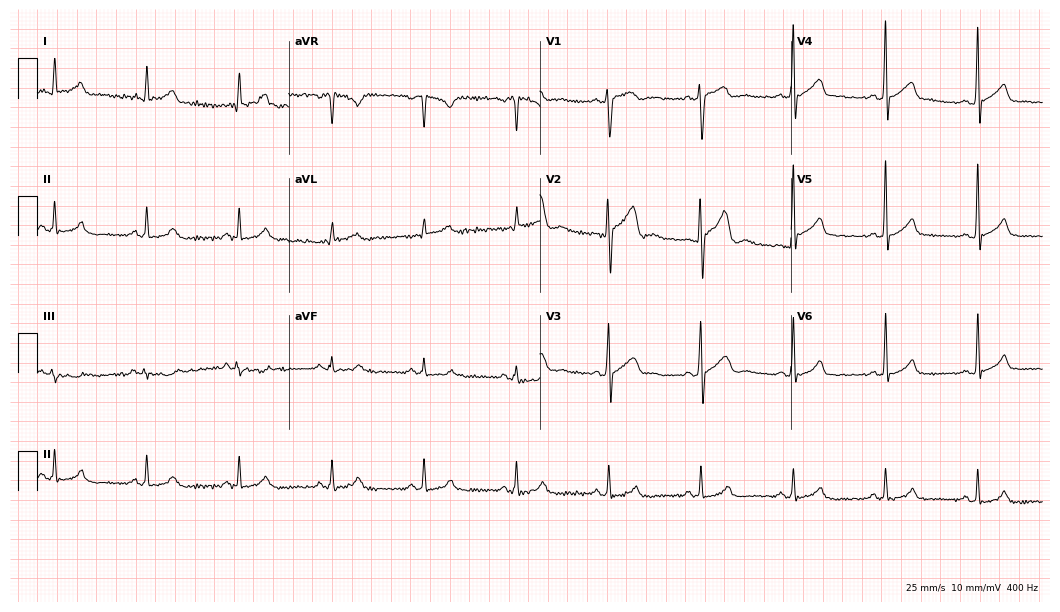
Standard 12-lead ECG recorded from a male patient, 20 years old (10.2-second recording at 400 Hz). Read as a normal ECG.